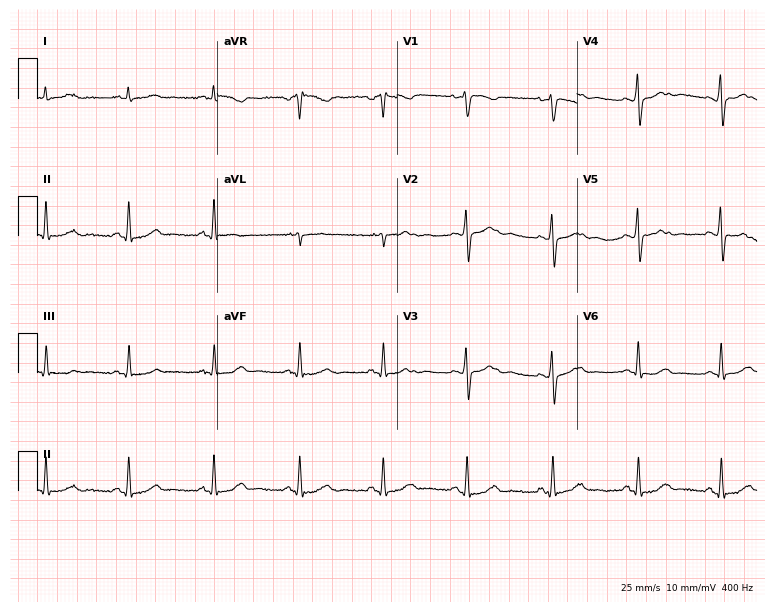
Resting 12-lead electrocardiogram. Patient: a woman, 41 years old. Read as a normal ECG.